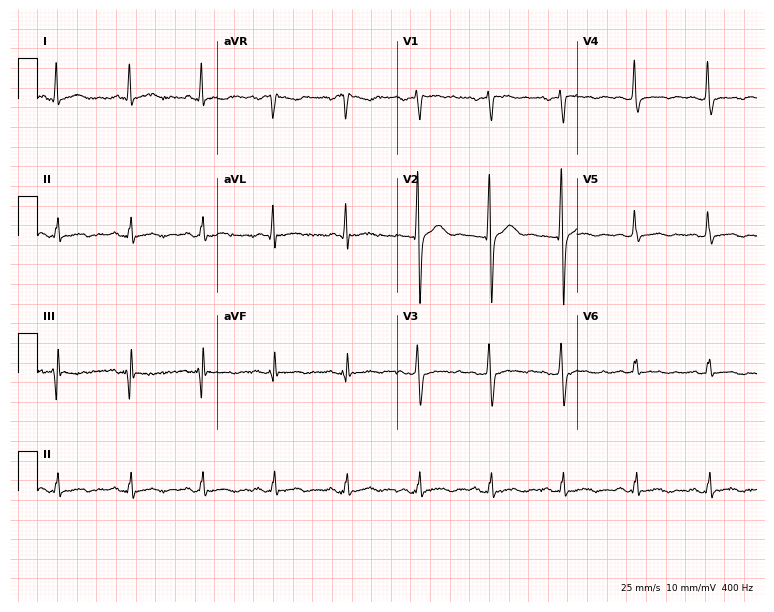
Standard 12-lead ECG recorded from a man, 38 years old. None of these six findings is recorded: first-degree AV block, right bundle branch block, left bundle branch block, sinus bradycardia, atrial fibrillation, sinus tachycardia. Findings outside these six are not listed.